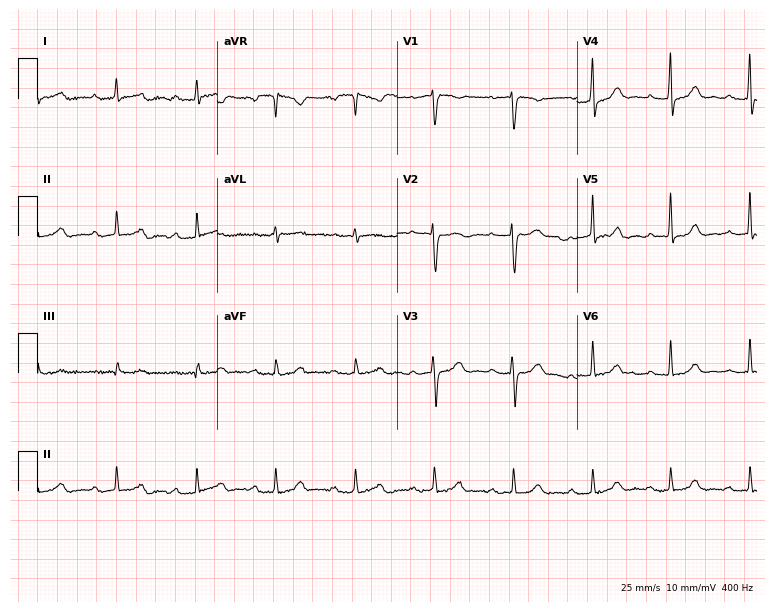
ECG — a female patient, 41 years old. Findings include first-degree AV block.